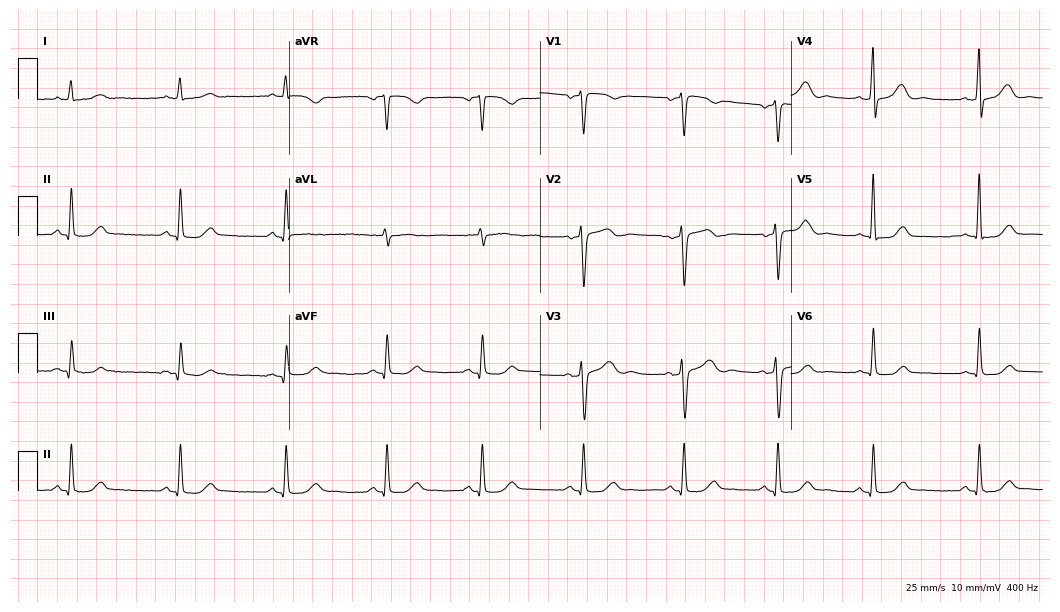
Standard 12-lead ECG recorded from a 51-year-old woman. None of these six findings is recorded: first-degree AV block, right bundle branch block (RBBB), left bundle branch block (LBBB), sinus bradycardia, atrial fibrillation (AF), sinus tachycardia.